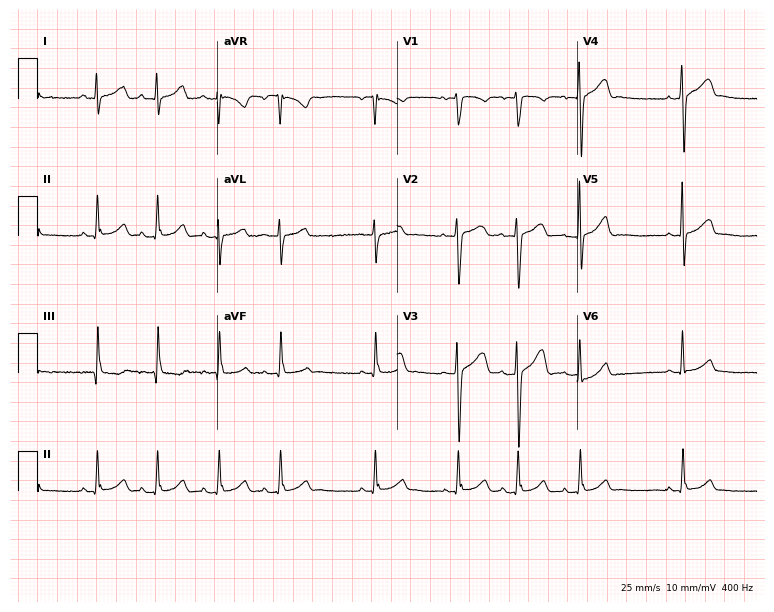
12-lead ECG from a female, 21 years old (7.3-second recording at 400 Hz). Recorded interpretation: within normal limits.